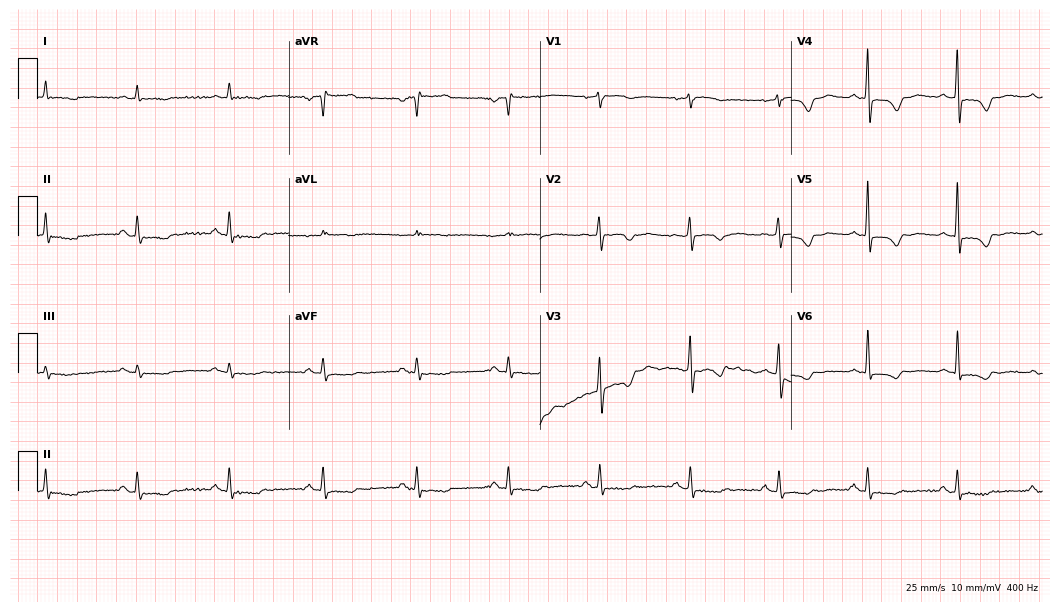
12-lead ECG from a 66-year-old woman. Screened for six findings — first-degree AV block, right bundle branch block (RBBB), left bundle branch block (LBBB), sinus bradycardia, atrial fibrillation (AF), sinus tachycardia — none is recorded. Only these six findings were labelled.